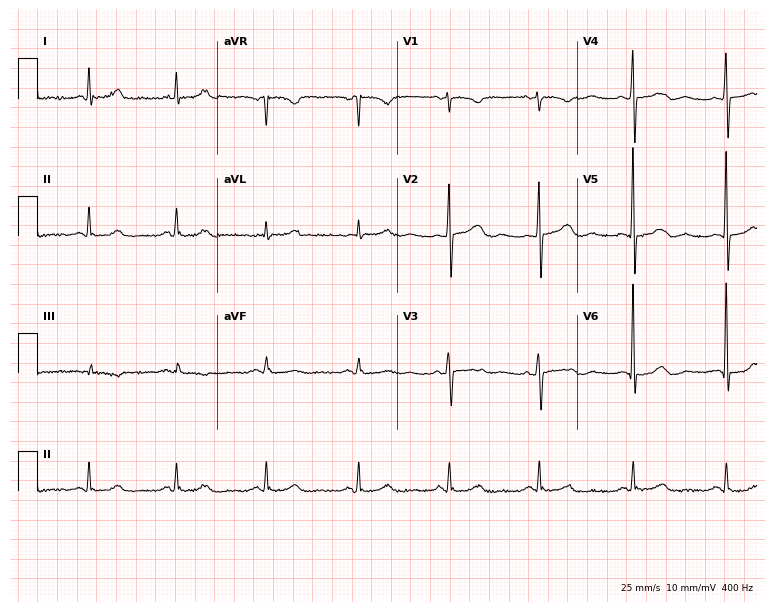
Resting 12-lead electrocardiogram (7.3-second recording at 400 Hz). Patient: a female, 66 years old. Read as a normal ECG.